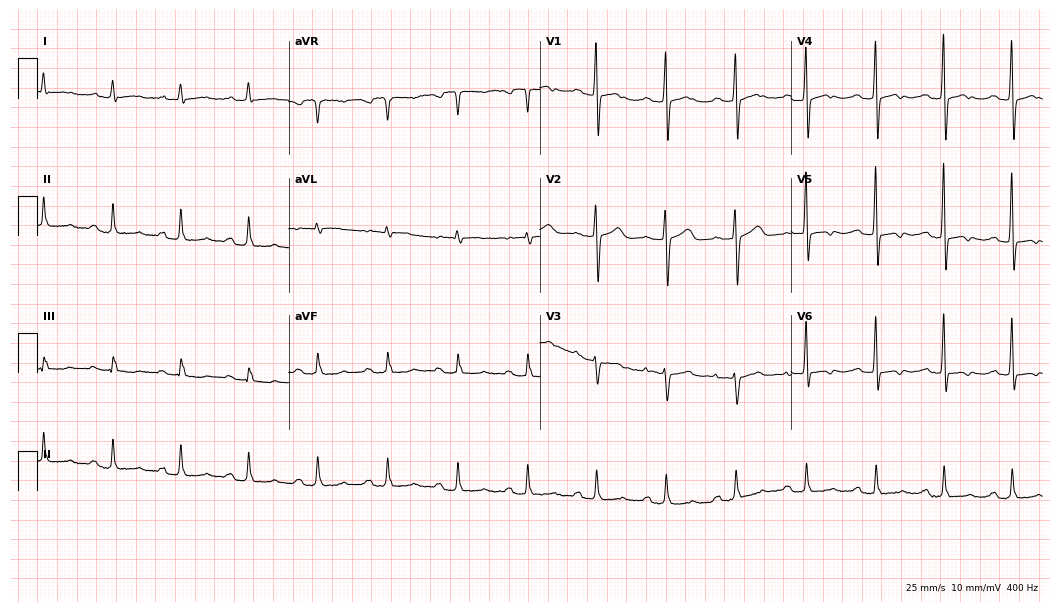
Electrocardiogram, a 79-year-old female. Of the six screened findings (first-degree AV block, right bundle branch block, left bundle branch block, sinus bradycardia, atrial fibrillation, sinus tachycardia), none is recorded. Other findings, if any, are not listed.